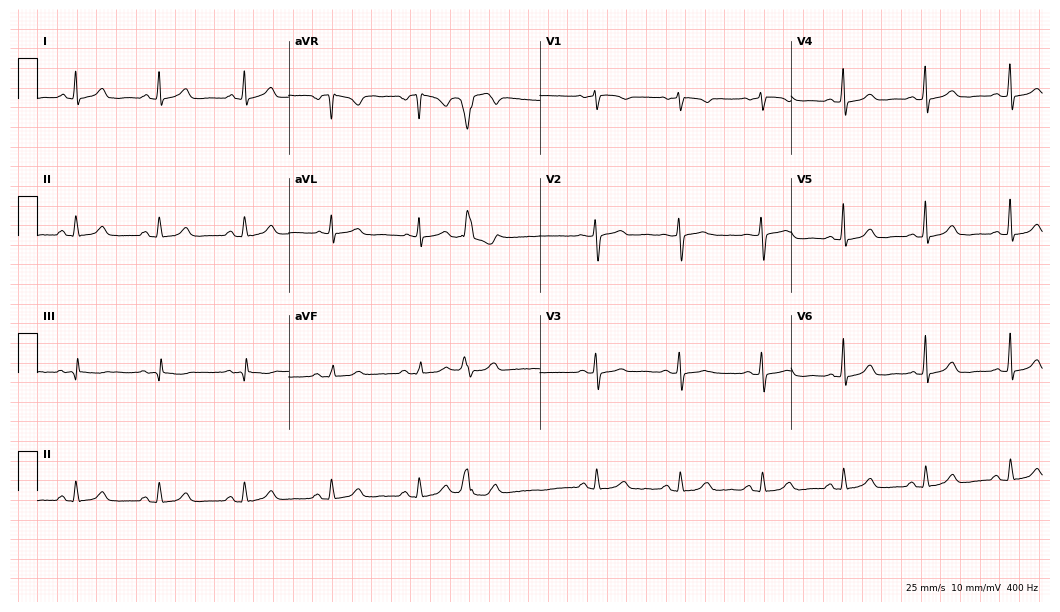
12-lead ECG from a 58-year-old woman. Recorded interpretation: within normal limits.